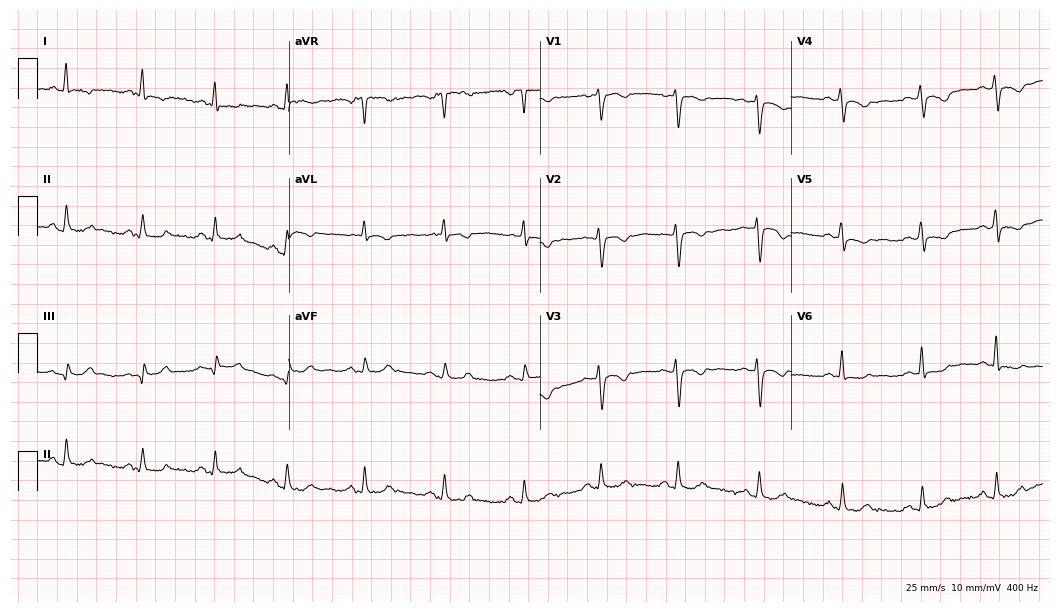
Resting 12-lead electrocardiogram (10.2-second recording at 400 Hz). Patient: a 39-year-old female. None of these six findings is recorded: first-degree AV block, right bundle branch block (RBBB), left bundle branch block (LBBB), sinus bradycardia, atrial fibrillation (AF), sinus tachycardia.